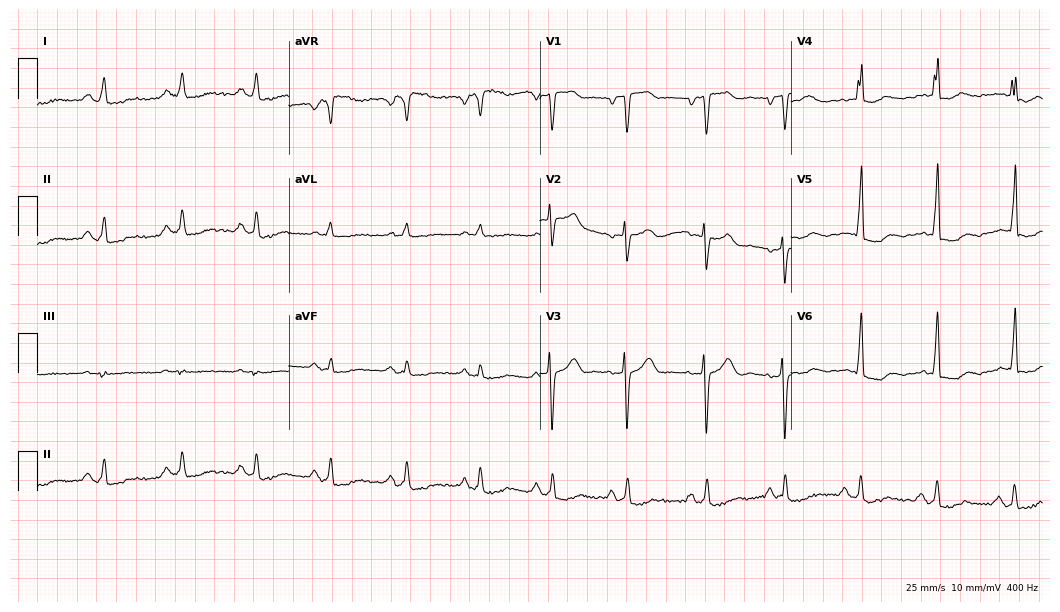
Standard 12-lead ECG recorded from a 61-year-old female (10.2-second recording at 400 Hz). None of these six findings is recorded: first-degree AV block, right bundle branch block (RBBB), left bundle branch block (LBBB), sinus bradycardia, atrial fibrillation (AF), sinus tachycardia.